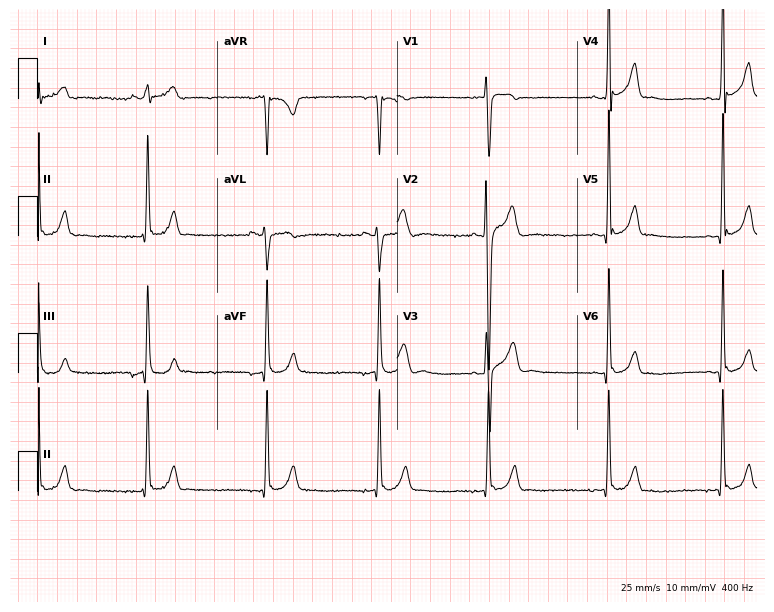
Electrocardiogram (7.3-second recording at 400 Hz), a 19-year-old male patient. Of the six screened findings (first-degree AV block, right bundle branch block (RBBB), left bundle branch block (LBBB), sinus bradycardia, atrial fibrillation (AF), sinus tachycardia), none is recorded.